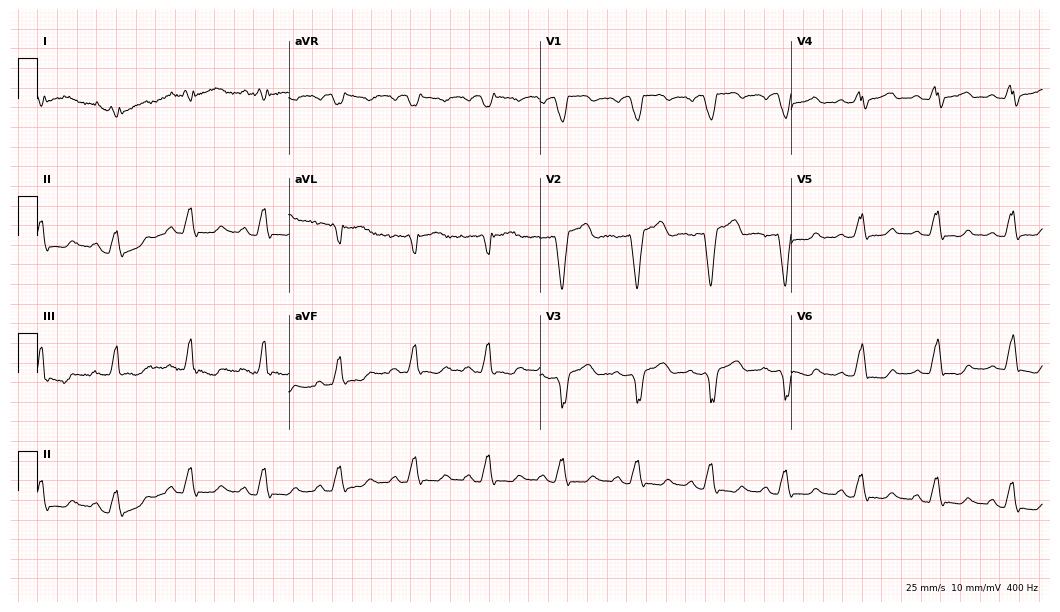
ECG (10.2-second recording at 400 Hz) — a 44-year-old female patient. Findings include left bundle branch block (LBBB).